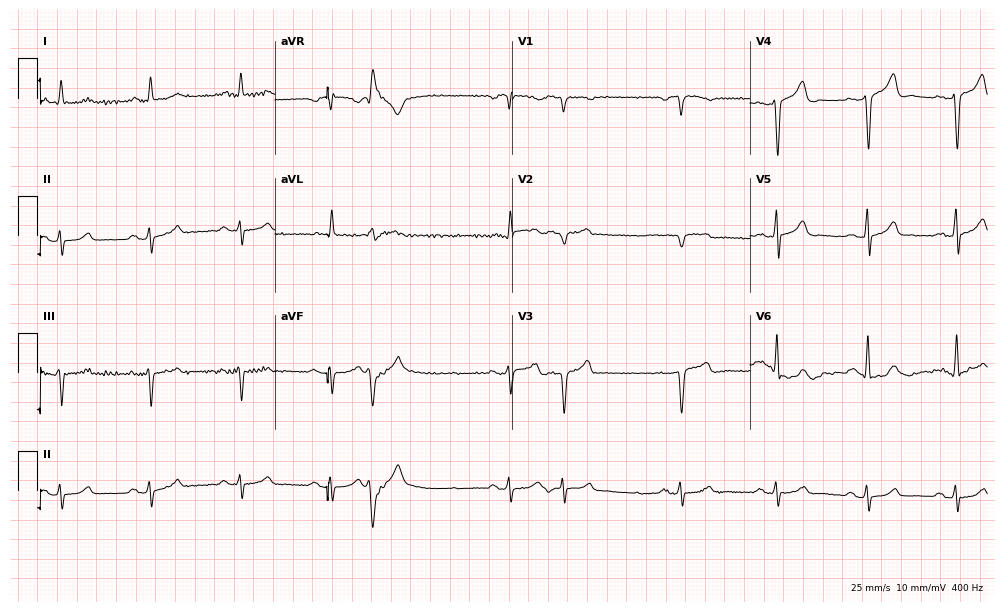
Standard 12-lead ECG recorded from an 83-year-old man. None of these six findings is recorded: first-degree AV block, right bundle branch block, left bundle branch block, sinus bradycardia, atrial fibrillation, sinus tachycardia. Findings outside these six are not listed.